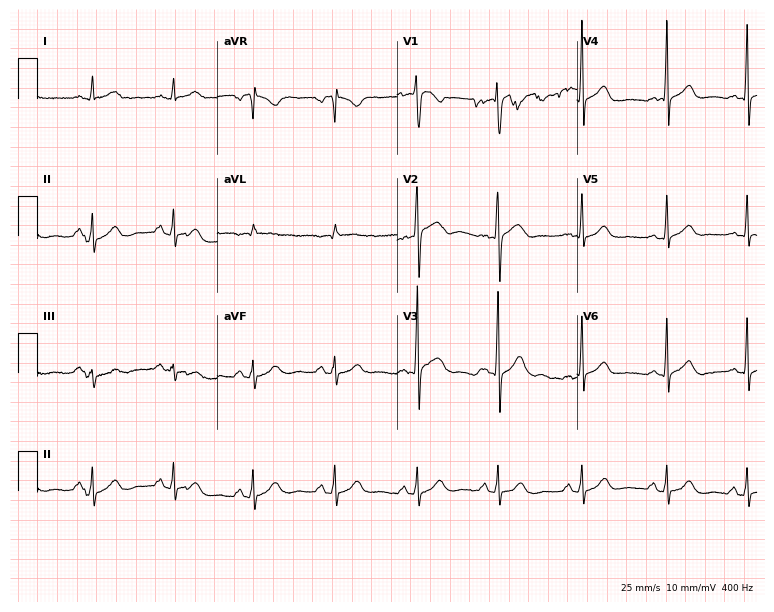
Standard 12-lead ECG recorded from a 39-year-old female (7.3-second recording at 400 Hz). Read as a normal ECG.